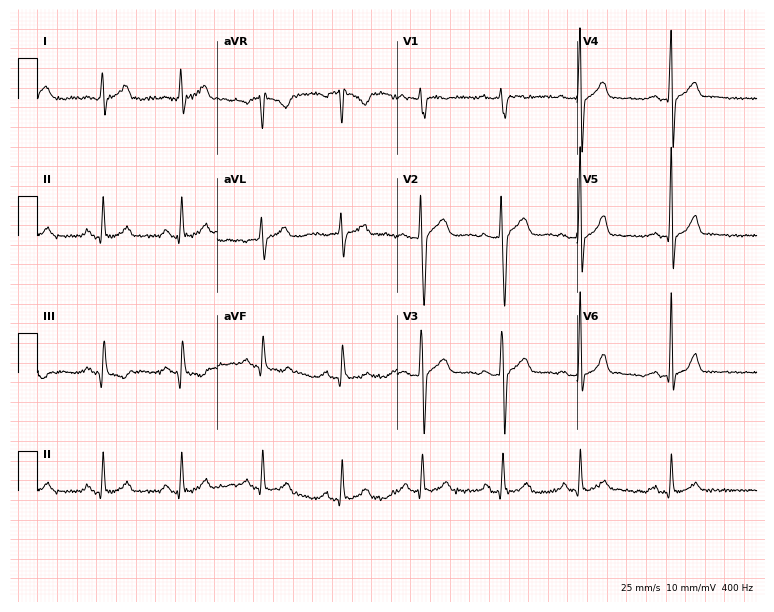
Electrocardiogram, a female patient, 37 years old. Of the six screened findings (first-degree AV block, right bundle branch block, left bundle branch block, sinus bradycardia, atrial fibrillation, sinus tachycardia), none is recorded. Only these six findings were labelled.